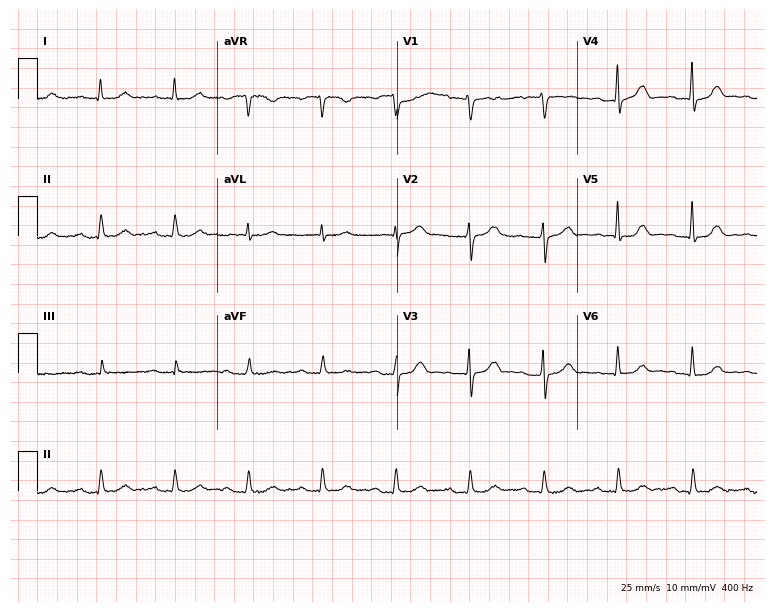
ECG (7.3-second recording at 400 Hz) — a 76-year-old man. Labelled as a normal ECG.